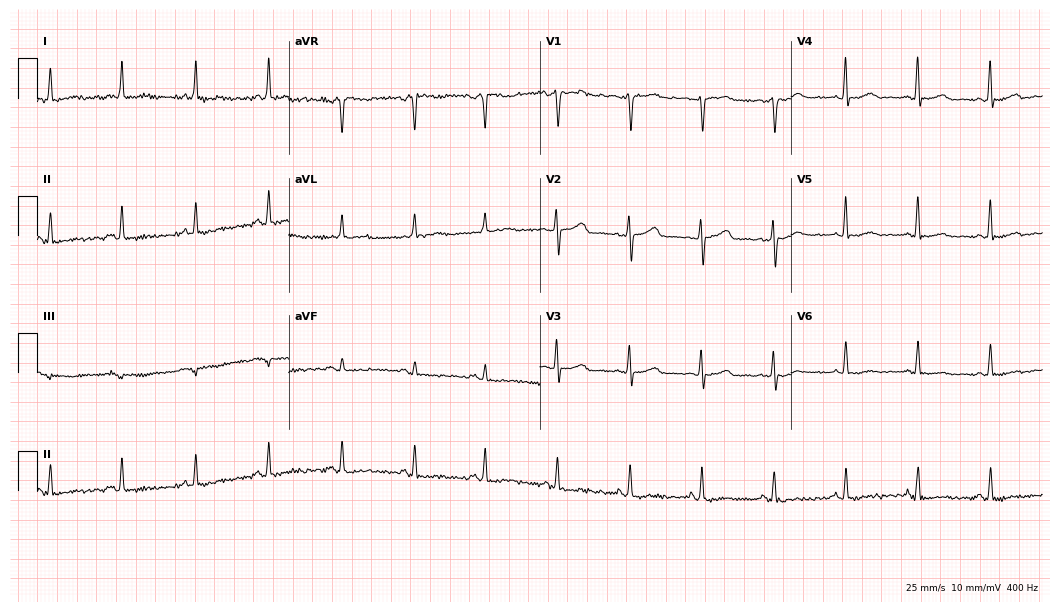
Standard 12-lead ECG recorded from a woman, 60 years old. None of these six findings is recorded: first-degree AV block, right bundle branch block (RBBB), left bundle branch block (LBBB), sinus bradycardia, atrial fibrillation (AF), sinus tachycardia.